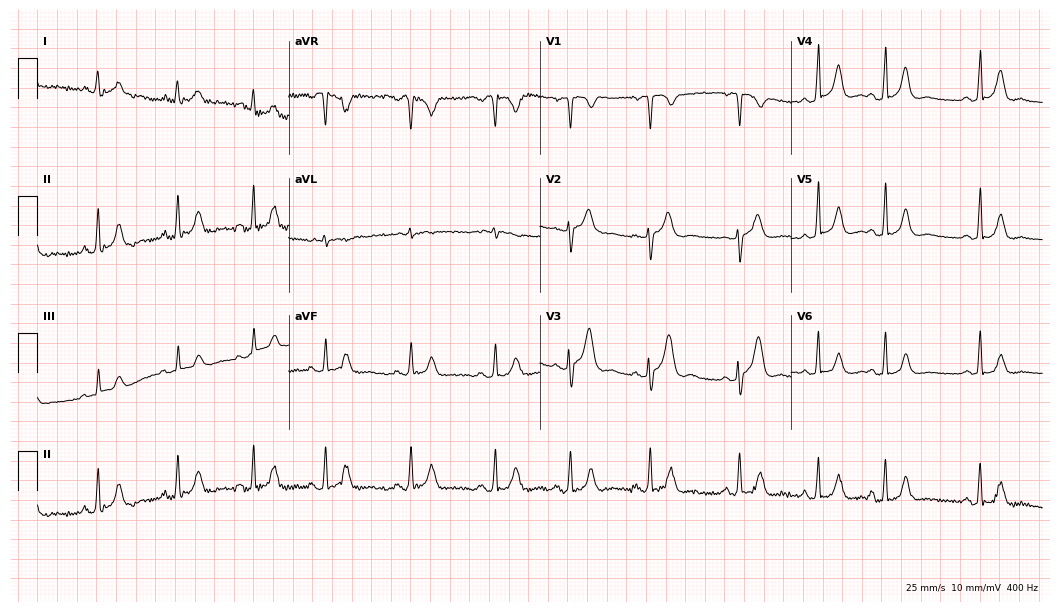
Standard 12-lead ECG recorded from a woman, 20 years old (10.2-second recording at 400 Hz). Read as a normal ECG.